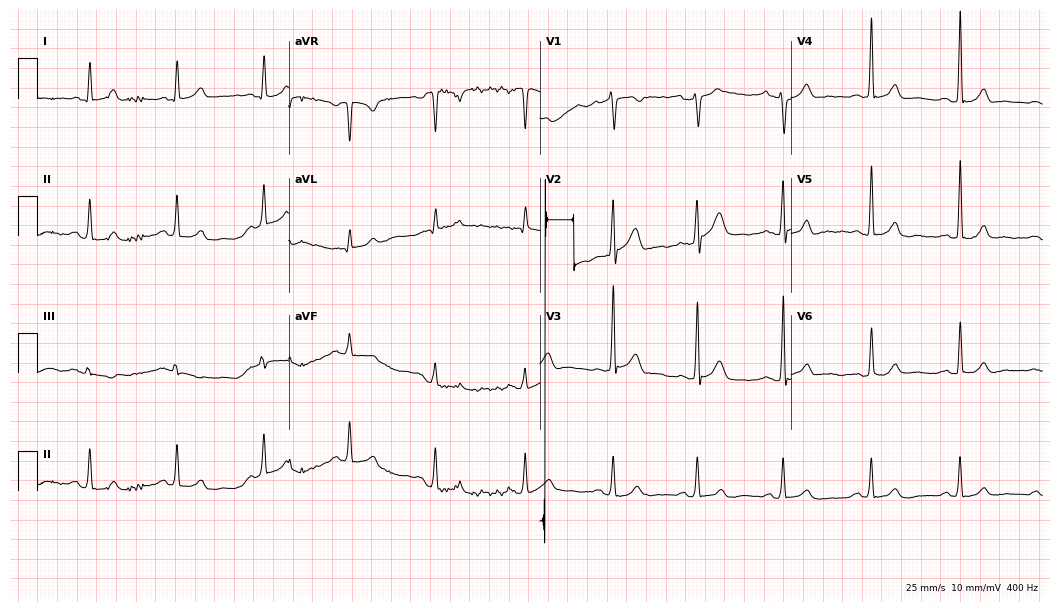
ECG — a 42-year-old male patient. Screened for six findings — first-degree AV block, right bundle branch block, left bundle branch block, sinus bradycardia, atrial fibrillation, sinus tachycardia — none is recorded. Other findings, if any, are not listed.